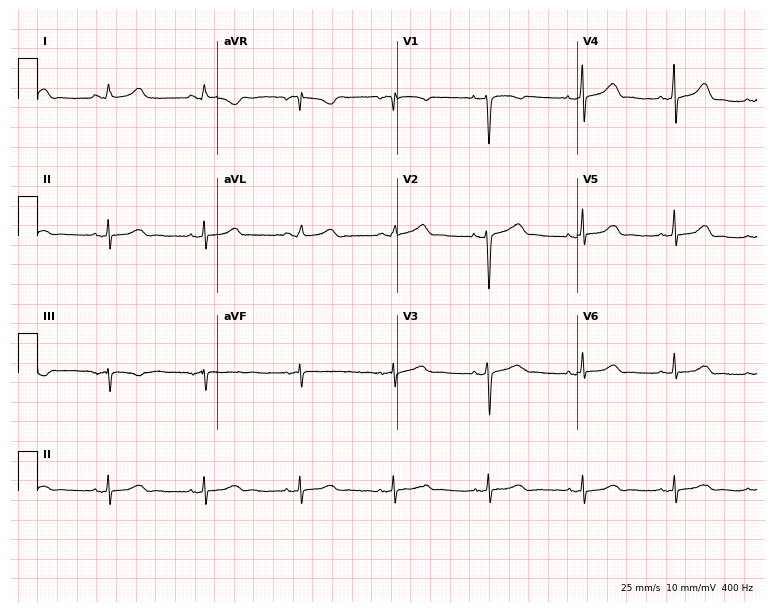
Electrocardiogram (7.3-second recording at 400 Hz), a 38-year-old female. Of the six screened findings (first-degree AV block, right bundle branch block, left bundle branch block, sinus bradycardia, atrial fibrillation, sinus tachycardia), none is recorded. Only these six findings were labelled.